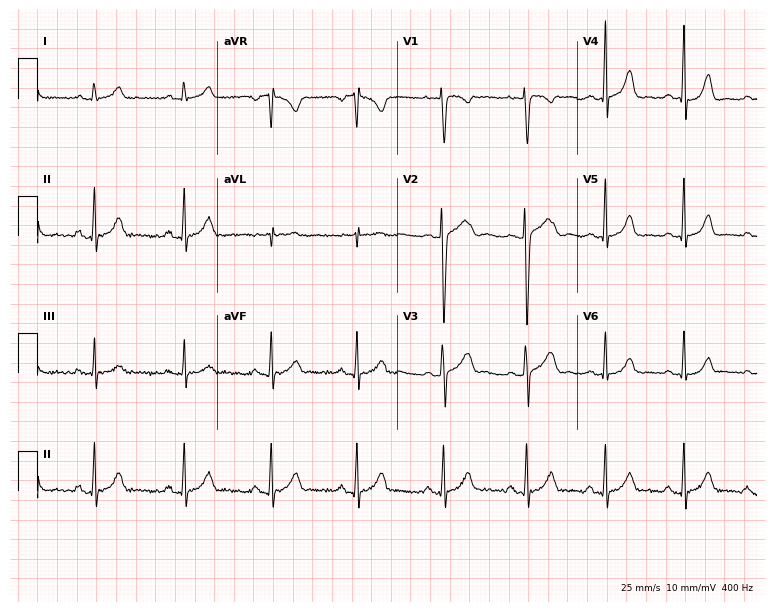
Electrocardiogram, a woman, 19 years old. Overall reading on record: normal ECG.